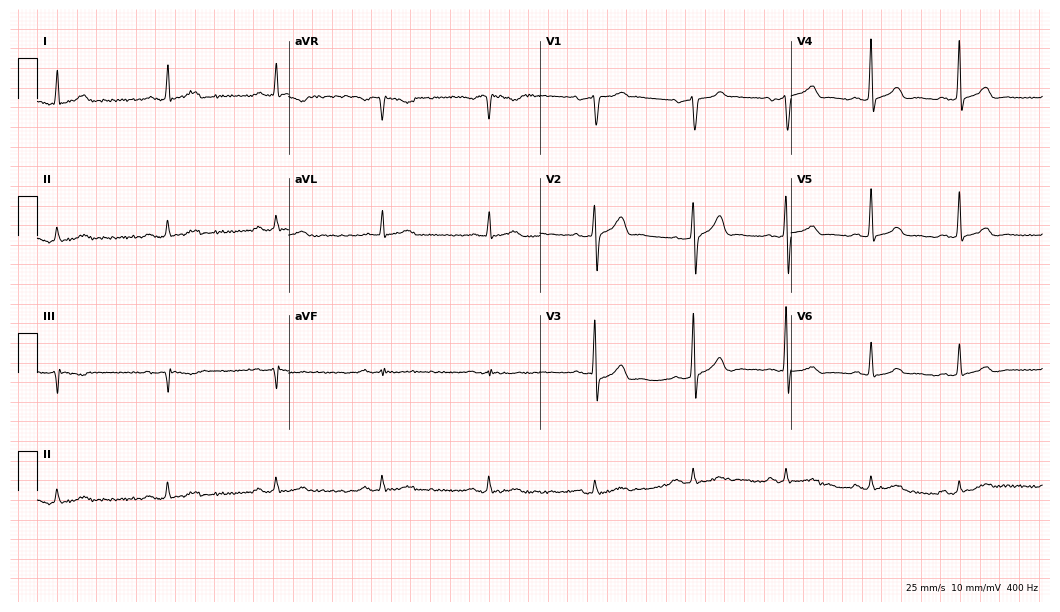
12-lead ECG from a male, 54 years old. Labelled as a normal ECG.